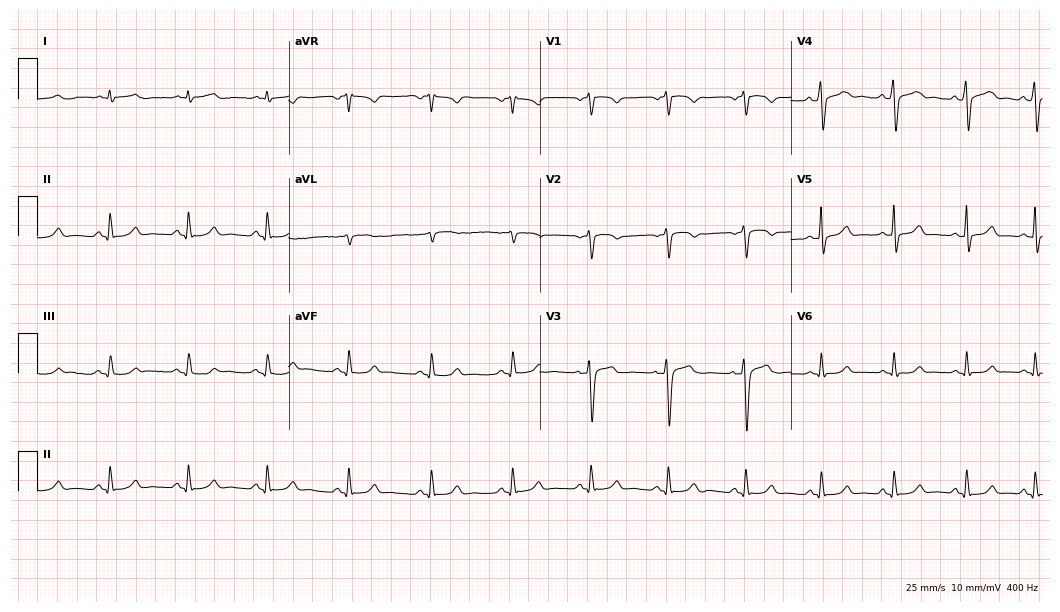
12-lead ECG from a man, 30 years old (10.2-second recording at 400 Hz). Recorded interpretation: within normal limits.